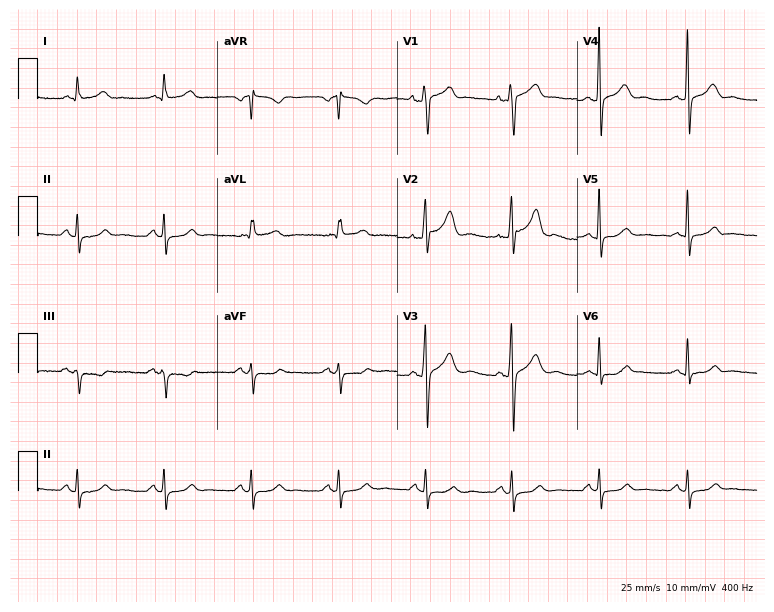
ECG — a 54-year-old male. Labelled as a normal ECG.